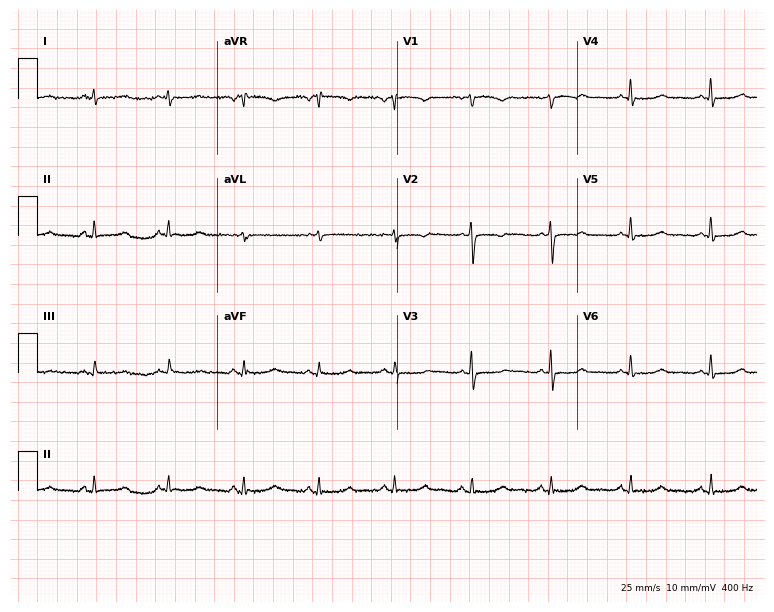
Electrocardiogram (7.3-second recording at 400 Hz), a male patient, 42 years old. Of the six screened findings (first-degree AV block, right bundle branch block, left bundle branch block, sinus bradycardia, atrial fibrillation, sinus tachycardia), none is recorded. Only these six findings were labelled.